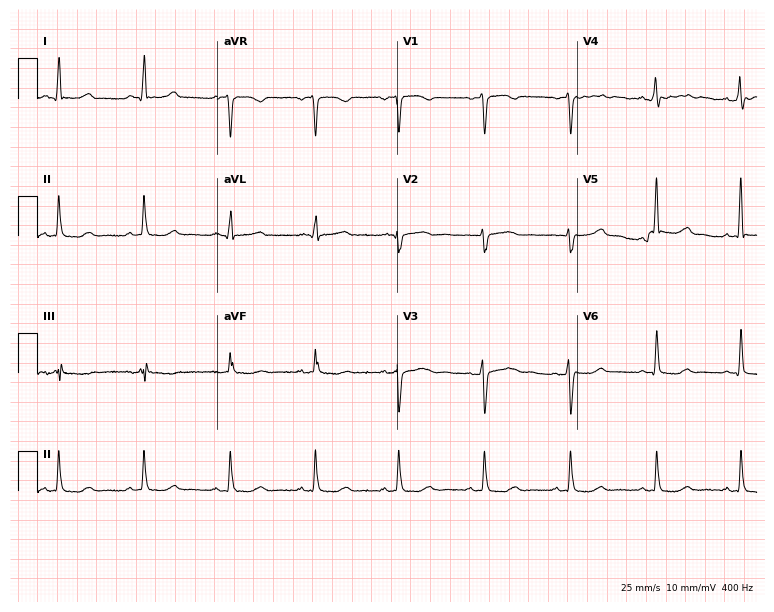
ECG — a female patient, 41 years old. Labelled as a normal ECG.